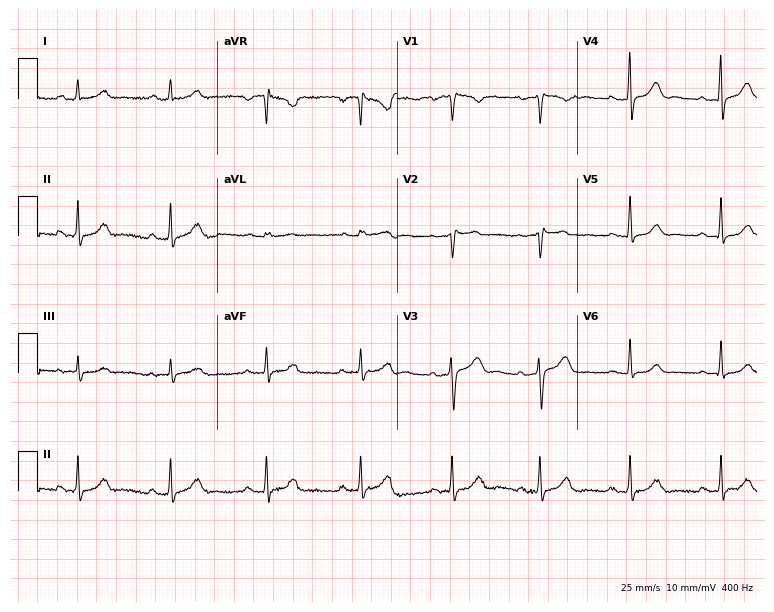
12-lead ECG from a female patient, 48 years old. Screened for six findings — first-degree AV block, right bundle branch block, left bundle branch block, sinus bradycardia, atrial fibrillation, sinus tachycardia — none is recorded. Only these six findings were labelled.